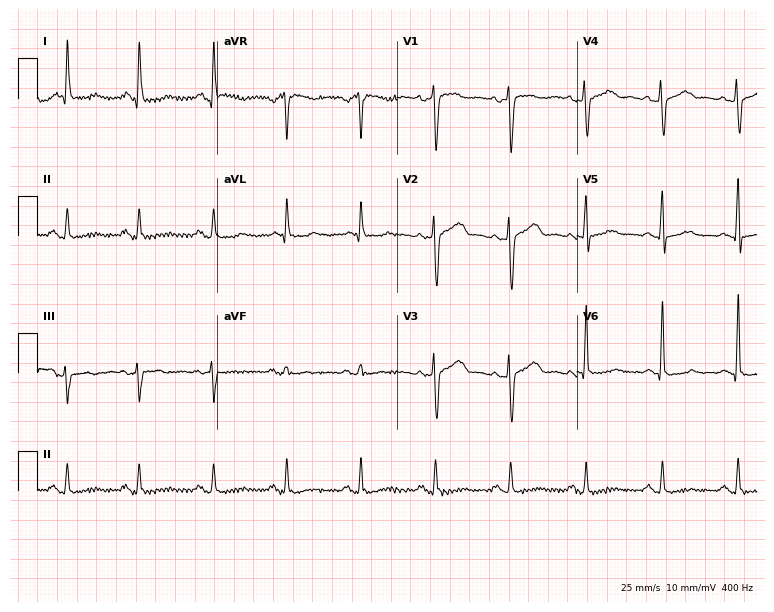
ECG — a 53-year-old female. Labelled as a normal ECG.